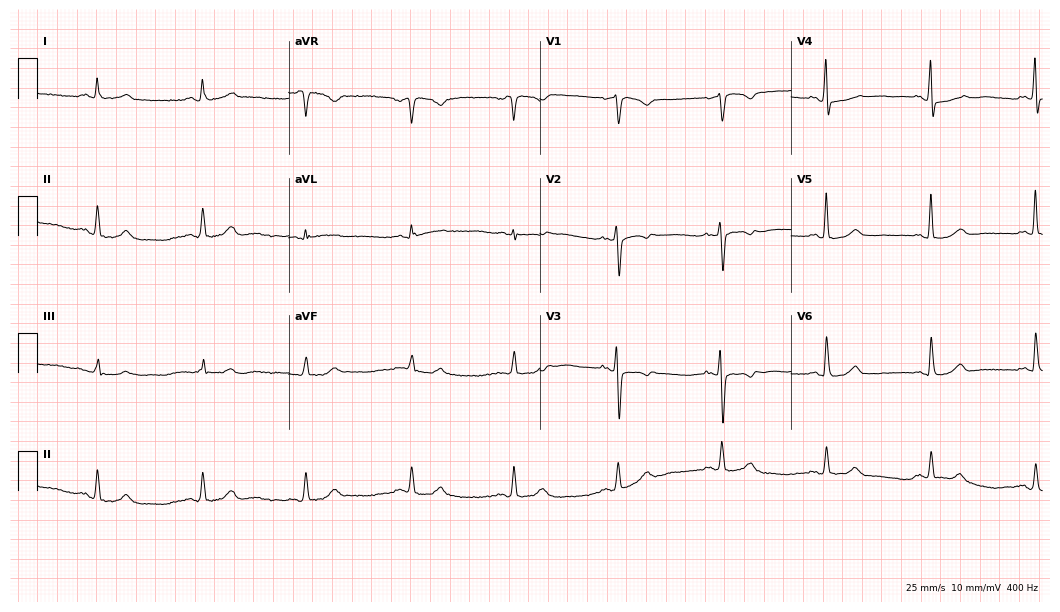
Standard 12-lead ECG recorded from a 46-year-old female patient. Read as a normal ECG.